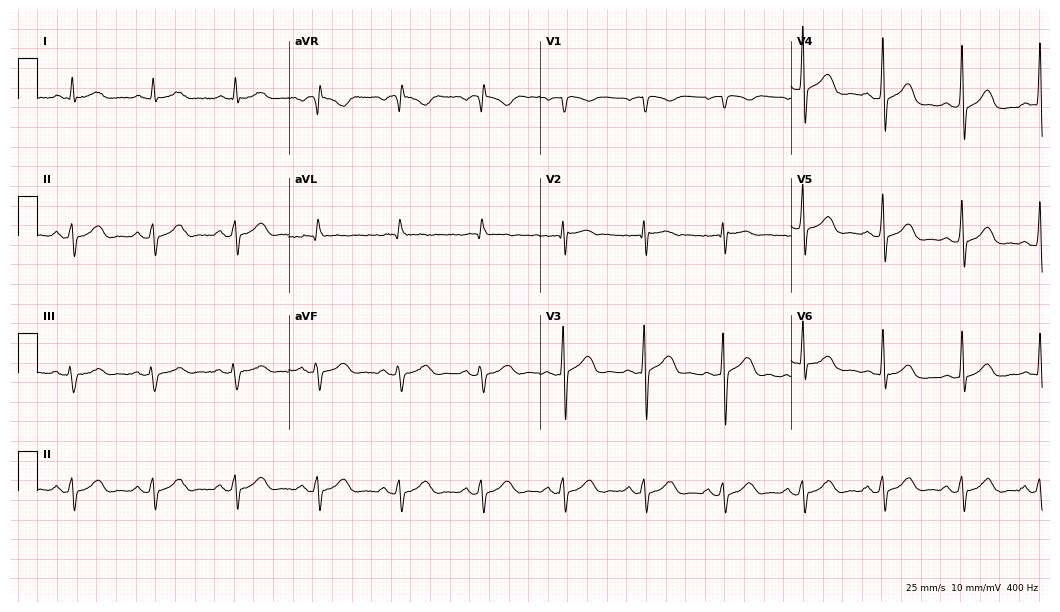
12-lead ECG (10.2-second recording at 400 Hz) from a 64-year-old male patient. Screened for six findings — first-degree AV block, right bundle branch block, left bundle branch block, sinus bradycardia, atrial fibrillation, sinus tachycardia — none is recorded.